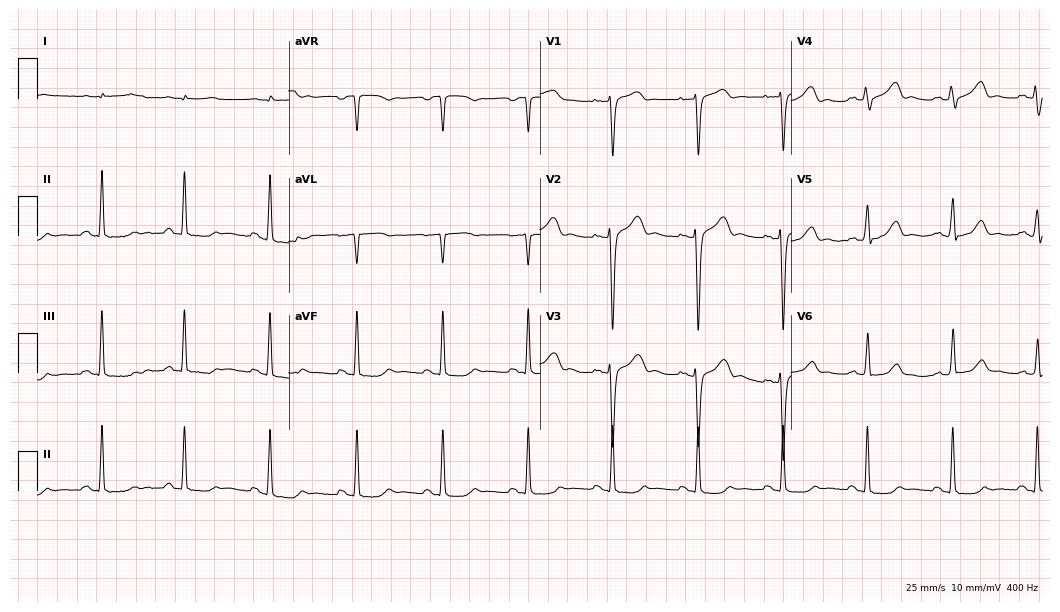
ECG — a 58-year-old male patient. Screened for six findings — first-degree AV block, right bundle branch block (RBBB), left bundle branch block (LBBB), sinus bradycardia, atrial fibrillation (AF), sinus tachycardia — none is recorded. Other findings, if any, are not listed.